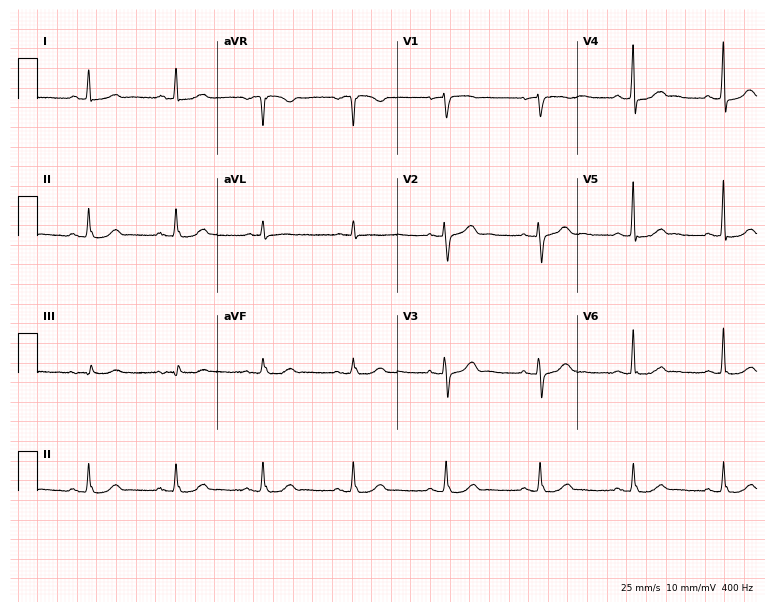
Resting 12-lead electrocardiogram. Patient: a 64-year-old female. Read as a normal ECG.